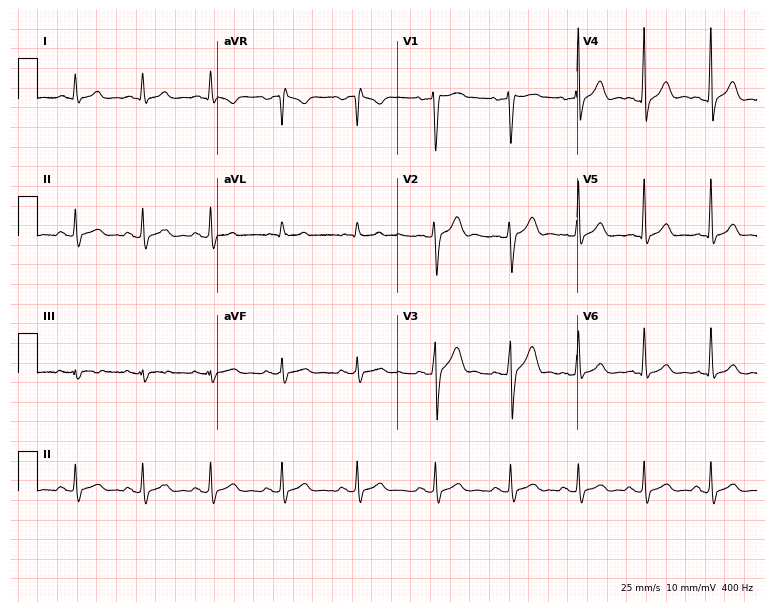
12-lead ECG from a man, 23 years old. Recorded interpretation: within normal limits.